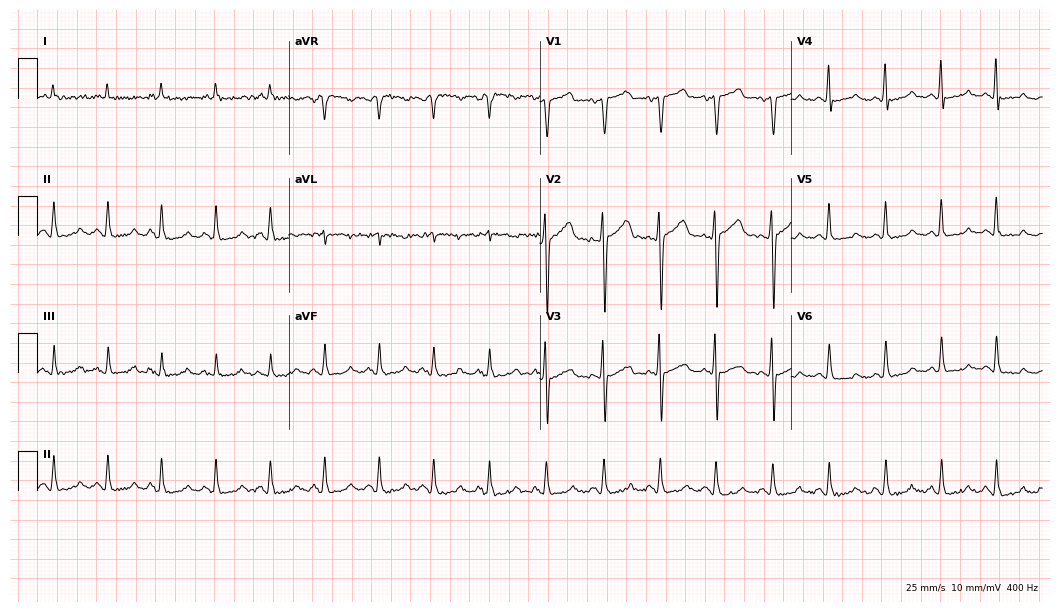
12-lead ECG from a 52-year-old male (10.2-second recording at 400 Hz). Shows sinus tachycardia (a sinus rate of 100 beats per minute or more).